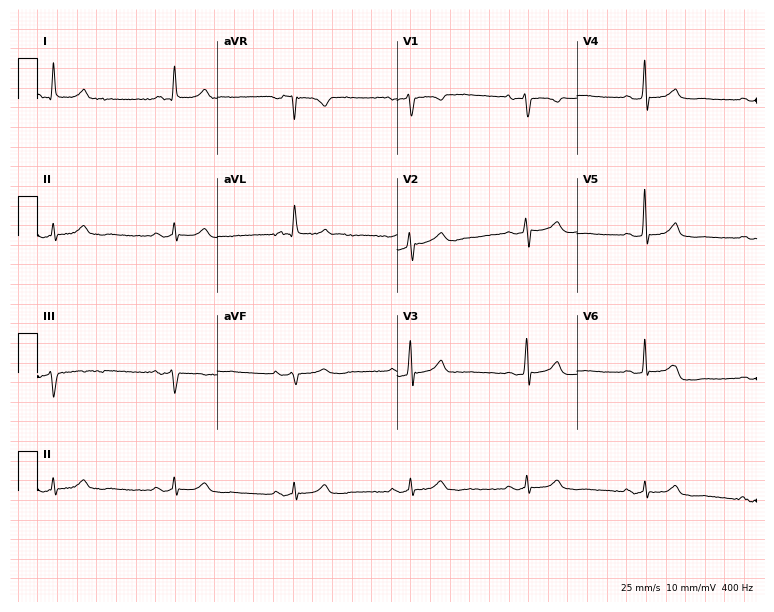
Resting 12-lead electrocardiogram. Patient: a female, 82 years old. The tracing shows sinus bradycardia (a sinus rate of 50 beats per minute or less).